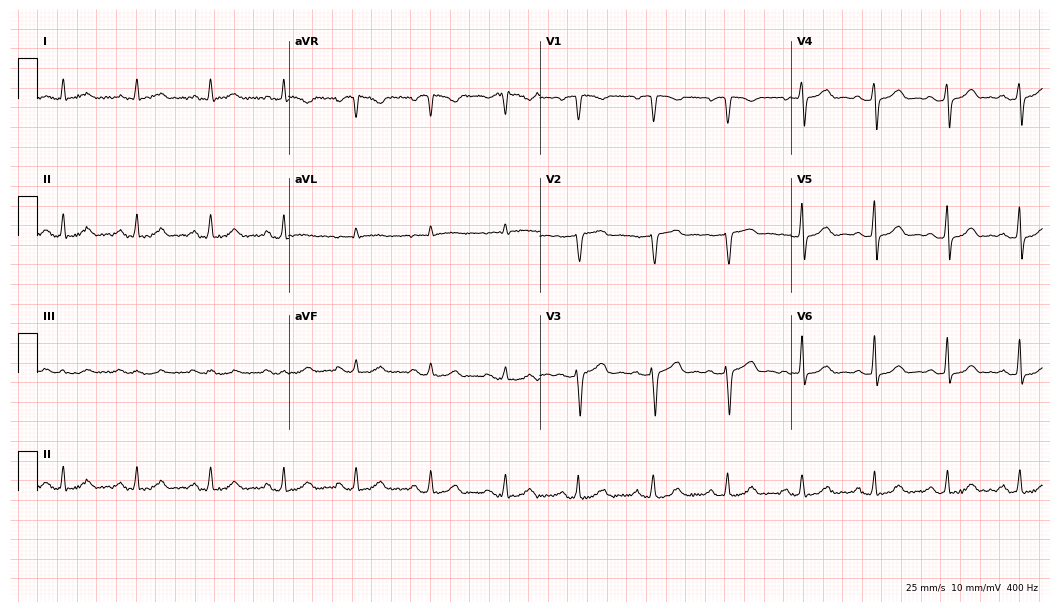
ECG (10.2-second recording at 400 Hz) — a woman, 45 years old. Screened for six findings — first-degree AV block, right bundle branch block, left bundle branch block, sinus bradycardia, atrial fibrillation, sinus tachycardia — none is recorded.